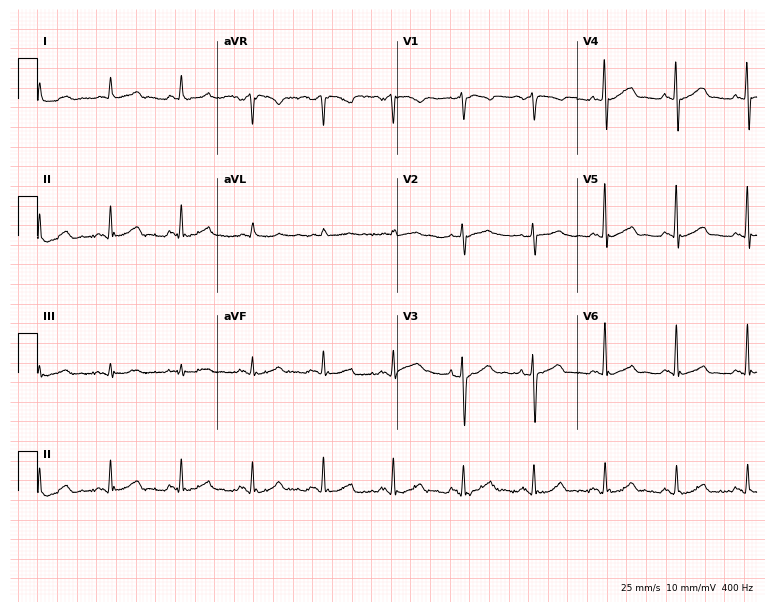
12-lead ECG from a male patient, 61 years old. Recorded interpretation: within normal limits.